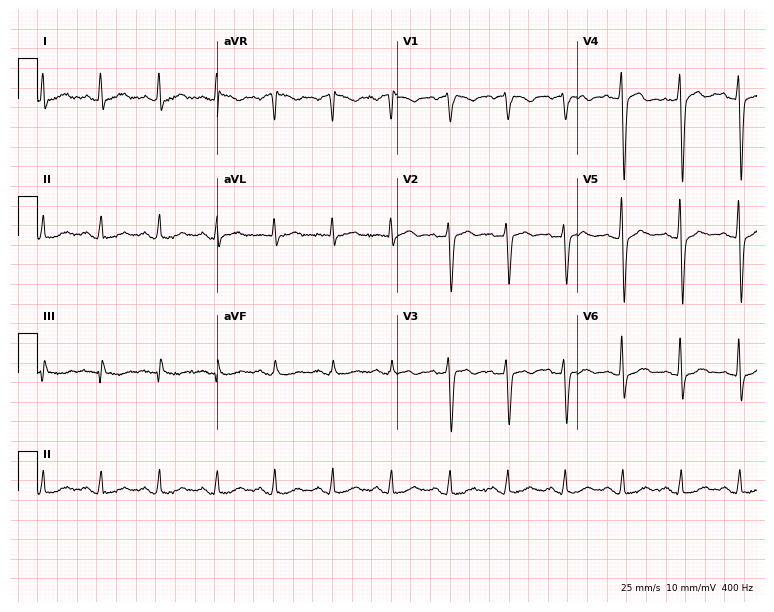
Standard 12-lead ECG recorded from a 54-year-old male. None of these six findings is recorded: first-degree AV block, right bundle branch block (RBBB), left bundle branch block (LBBB), sinus bradycardia, atrial fibrillation (AF), sinus tachycardia.